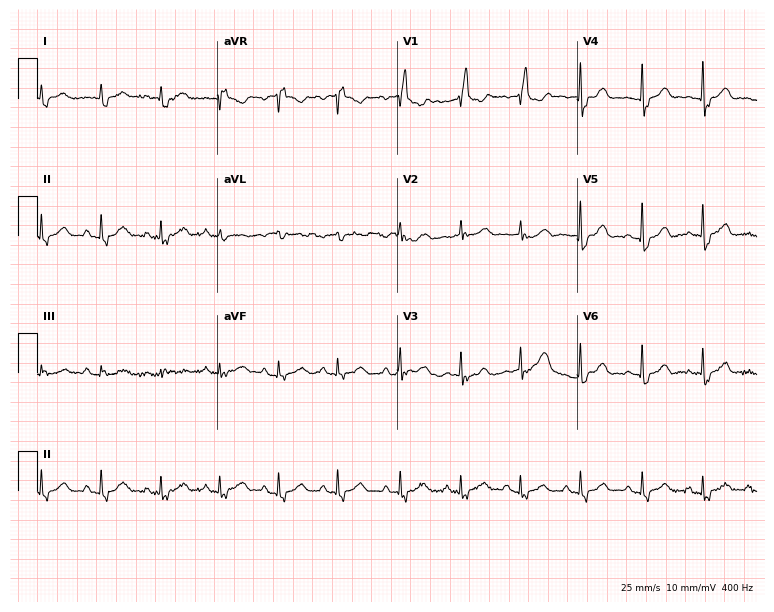
Standard 12-lead ECG recorded from an 83-year-old man (7.3-second recording at 400 Hz). None of these six findings is recorded: first-degree AV block, right bundle branch block, left bundle branch block, sinus bradycardia, atrial fibrillation, sinus tachycardia. Other findings, if any, are not listed.